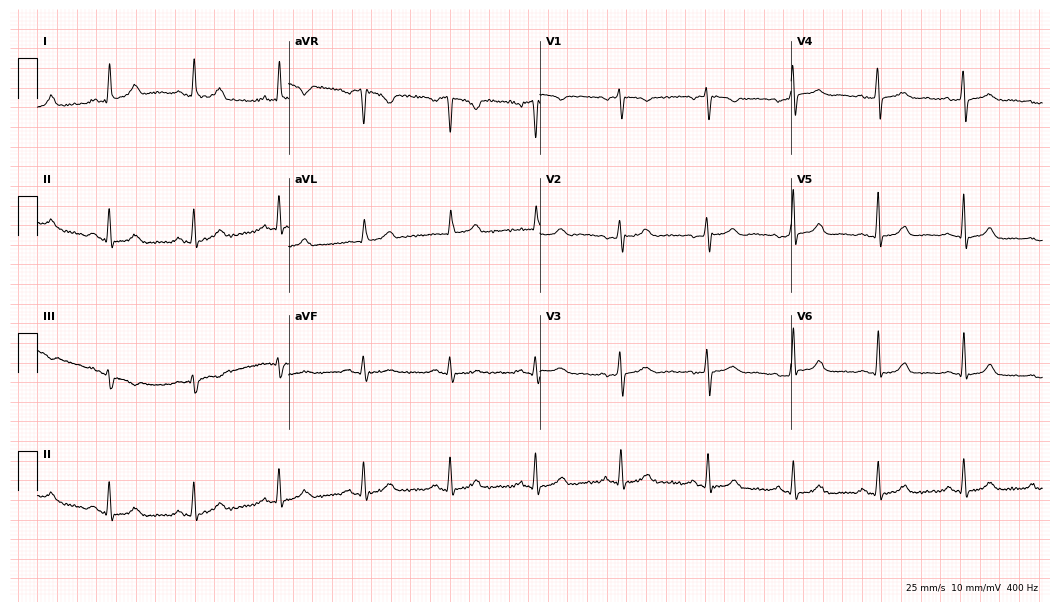
ECG (10.2-second recording at 400 Hz) — a female, 48 years old. Labelled as a normal ECG.